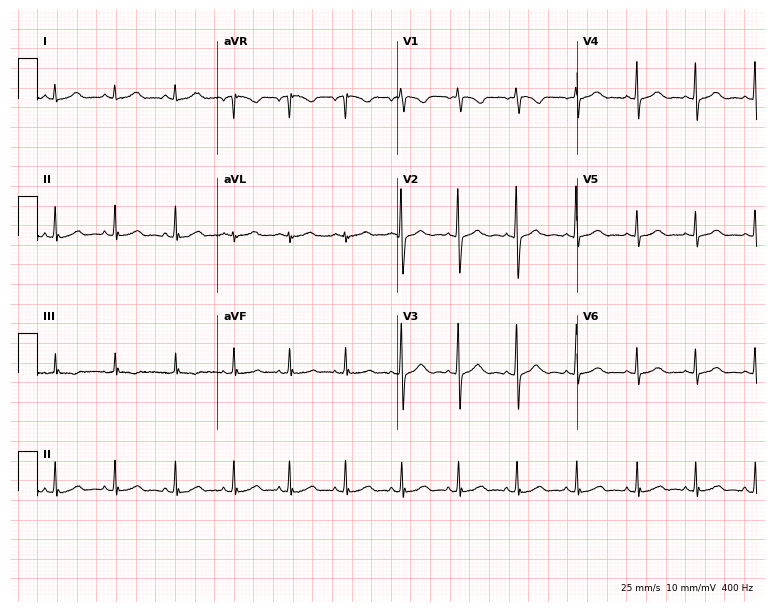
ECG (7.3-second recording at 400 Hz) — a 17-year-old female patient. Screened for six findings — first-degree AV block, right bundle branch block (RBBB), left bundle branch block (LBBB), sinus bradycardia, atrial fibrillation (AF), sinus tachycardia — none is recorded.